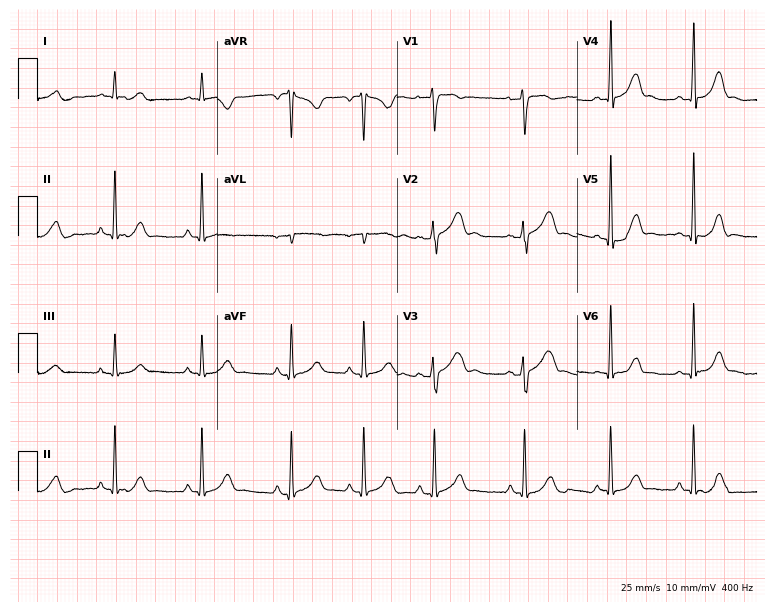
Standard 12-lead ECG recorded from a female patient, 28 years old. Read as a normal ECG.